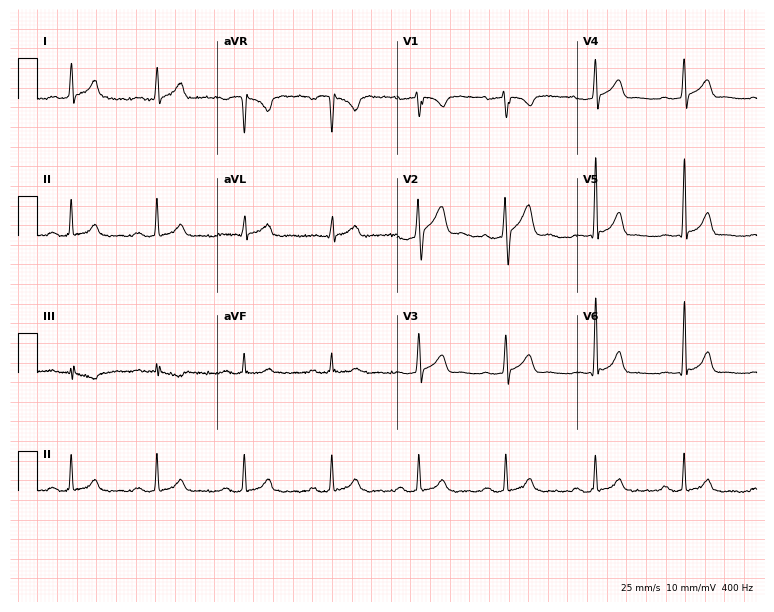
Electrocardiogram, a 34-year-old man. Of the six screened findings (first-degree AV block, right bundle branch block, left bundle branch block, sinus bradycardia, atrial fibrillation, sinus tachycardia), none is recorded.